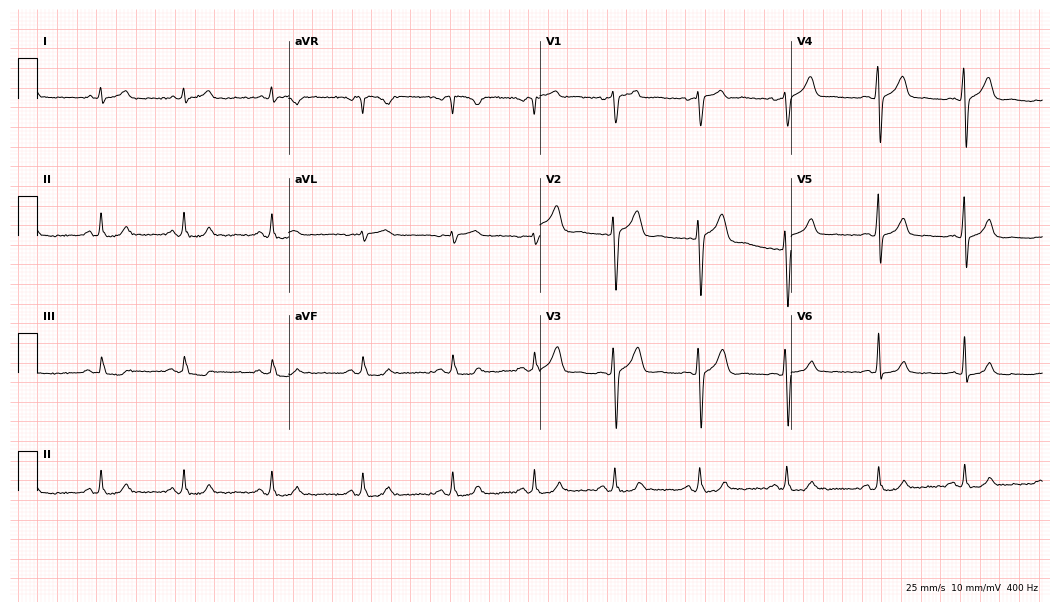
Standard 12-lead ECG recorded from a 28-year-old male. Read as a normal ECG.